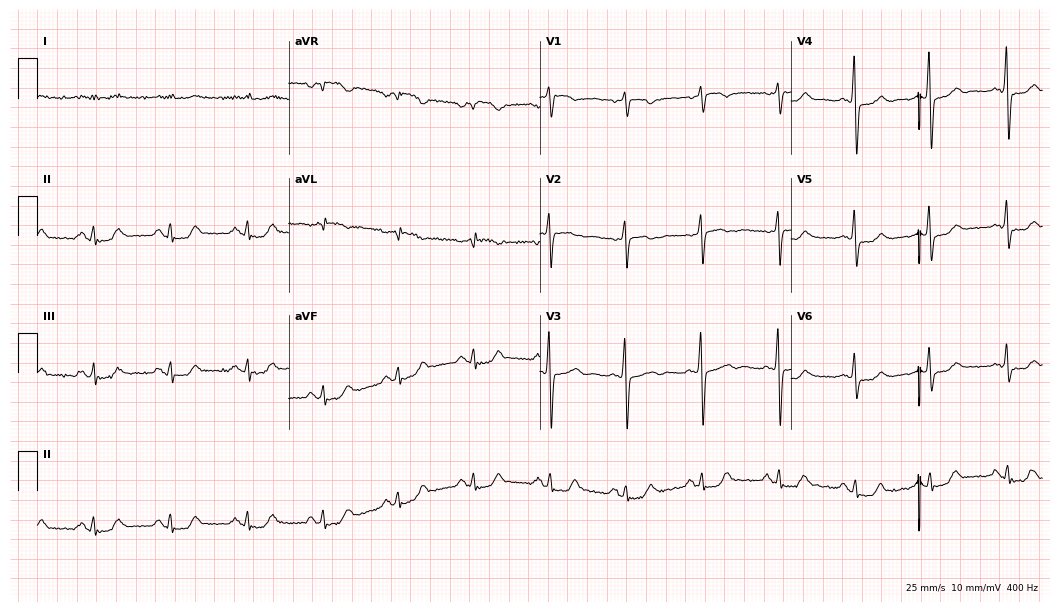
Resting 12-lead electrocardiogram (10.2-second recording at 400 Hz). Patient: a 75-year-old man. None of these six findings is recorded: first-degree AV block, right bundle branch block, left bundle branch block, sinus bradycardia, atrial fibrillation, sinus tachycardia.